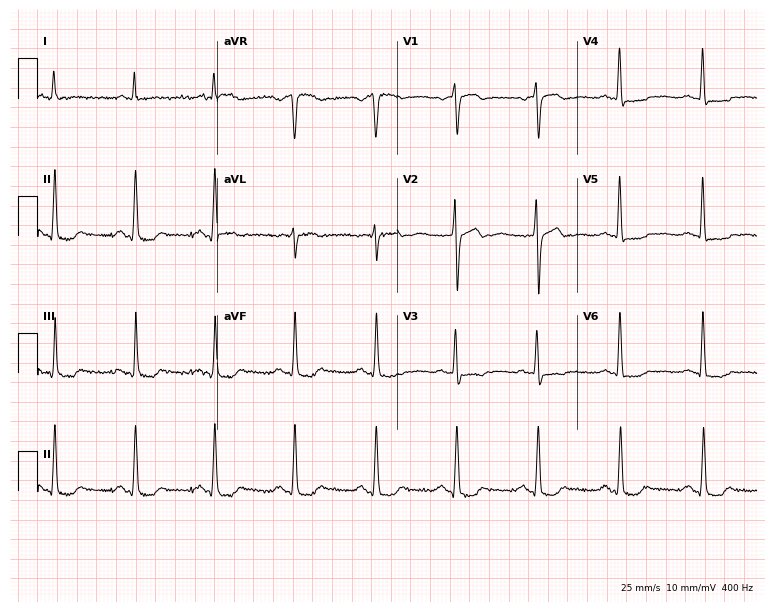
12-lead ECG (7.3-second recording at 400 Hz) from a 58-year-old female. Screened for six findings — first-degree AV block, right bundle branch block (RBBB), left bundle branch block (LBBB), sinus bradycardia, atrial fibrillation (AF), sinus tachycardia — none is recorded. Other findings, if any, are not listed.